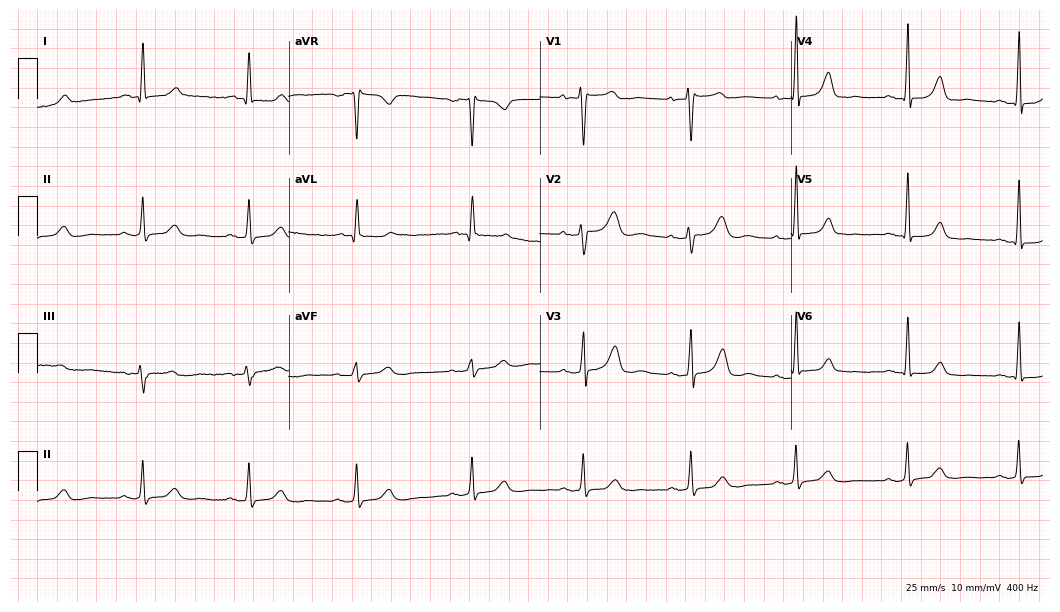
12-lead ECG from a female patient, 61 years old. Recorded interpretation: within normal limits.